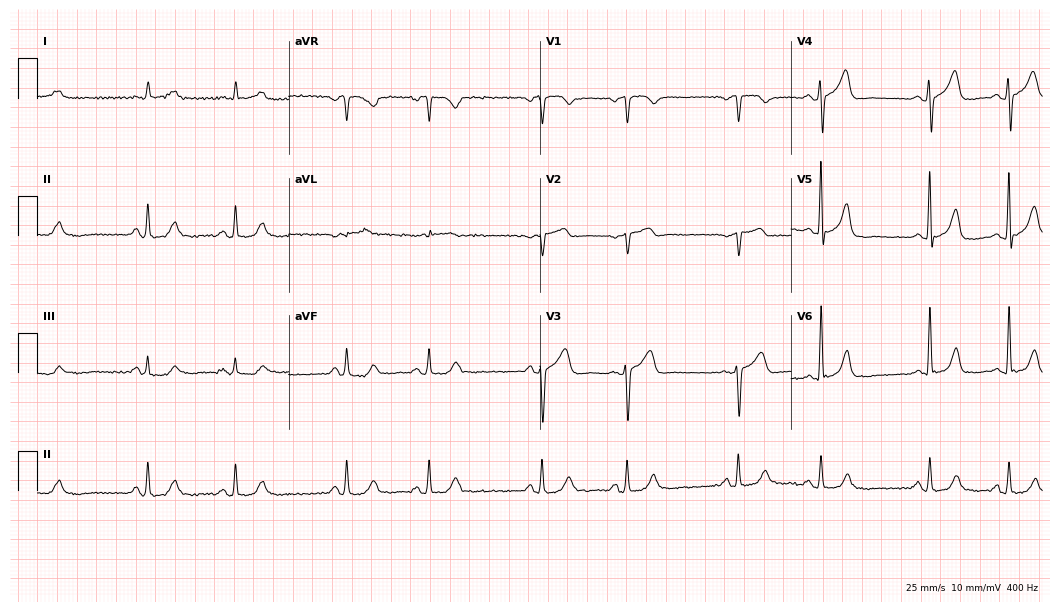
Standard 12-lead ECG recorded from a male, 85 years old (10.2-second recording at 400 Hz). Read as a normal ECG.